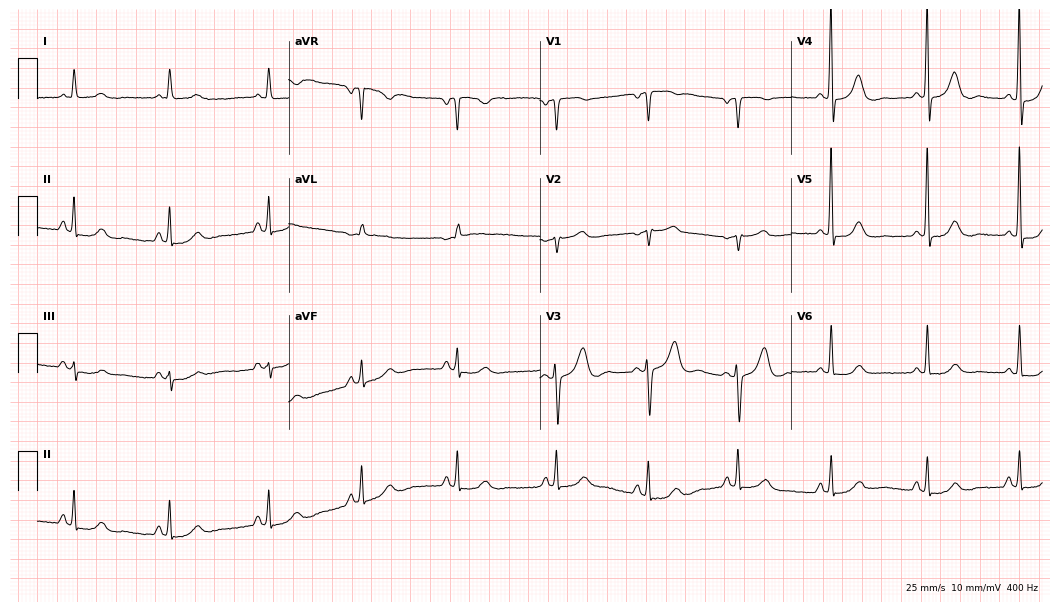
Electrocardiogram, a 61-year-old woman. Overall reading on record: normal ECG.